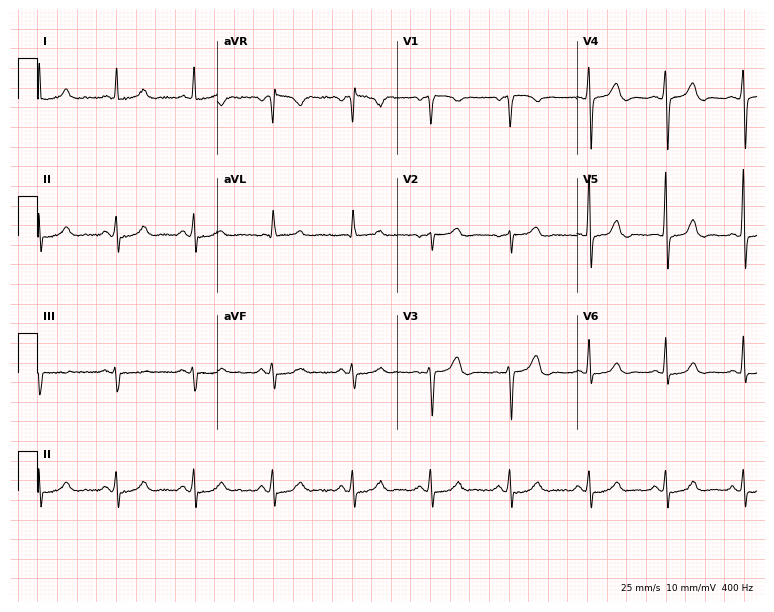
12-lead ECG from a 42-year-old female (7.3-second recording at 400 Hz). Recorded interpretation: within normal limits.